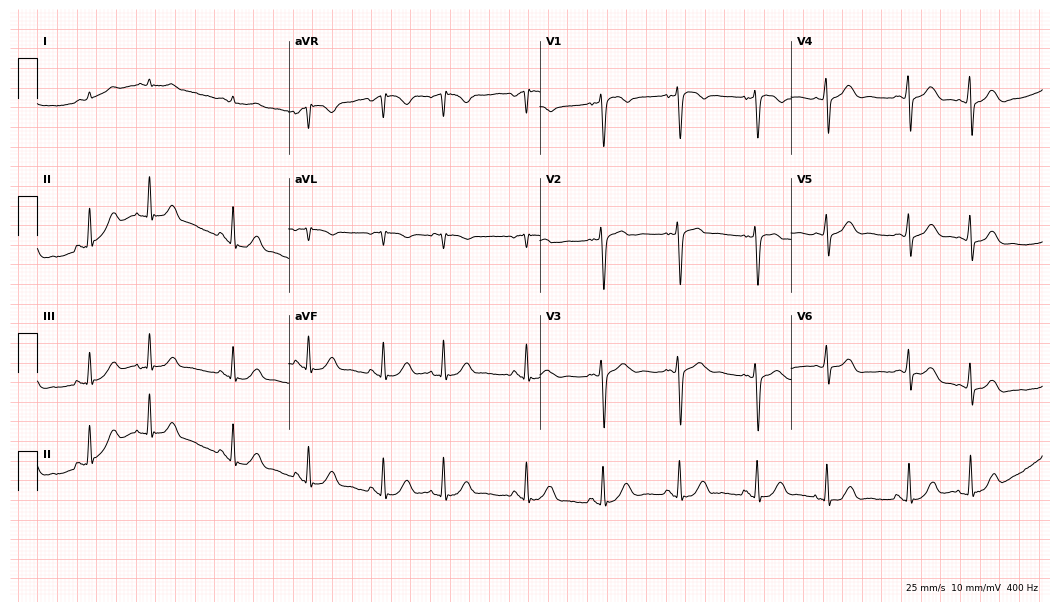
12-lead ECG (10.2-second recording at 400 Hz) from a 57-year-old man. Screened for six findings — first-degree AV block, right bundle branch block, left bundle branch block, sinus bradycardia, atrial fibrillation, sinus tachycardia — none is recorded. Only these six findings were labelled.